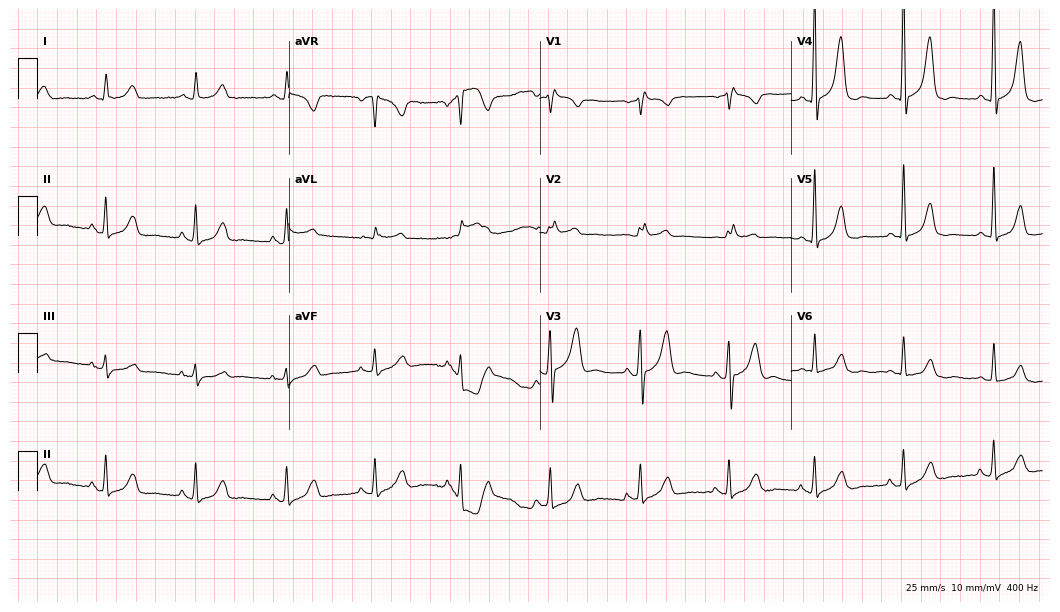
12-lead ECG from an 80-year-old woman. Screened for six findings — first-degree AV block, right bundle branch block, left bundle branch block, sinus bradycardia, atrial fibrillation, sinus tachycardia — none is recorded.